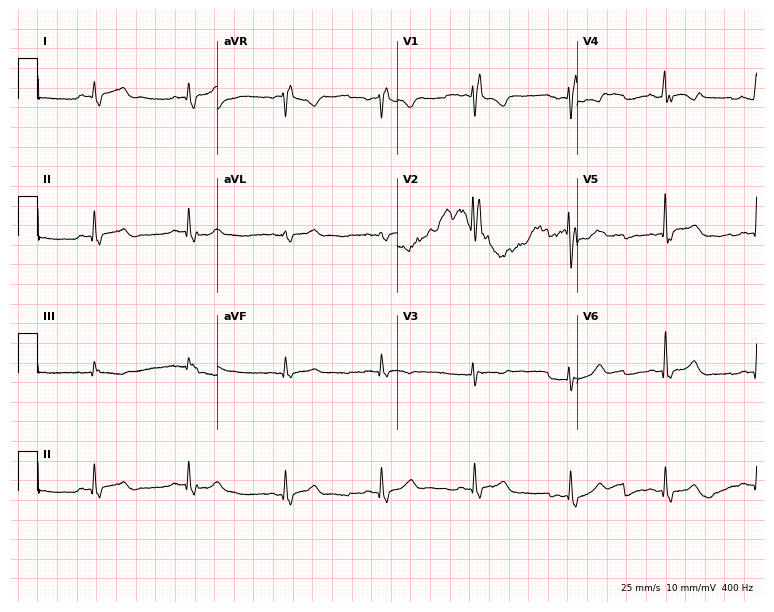
ECG — a 45-year-old woman. Findings include right bundle branch block, atrial fibrillation.